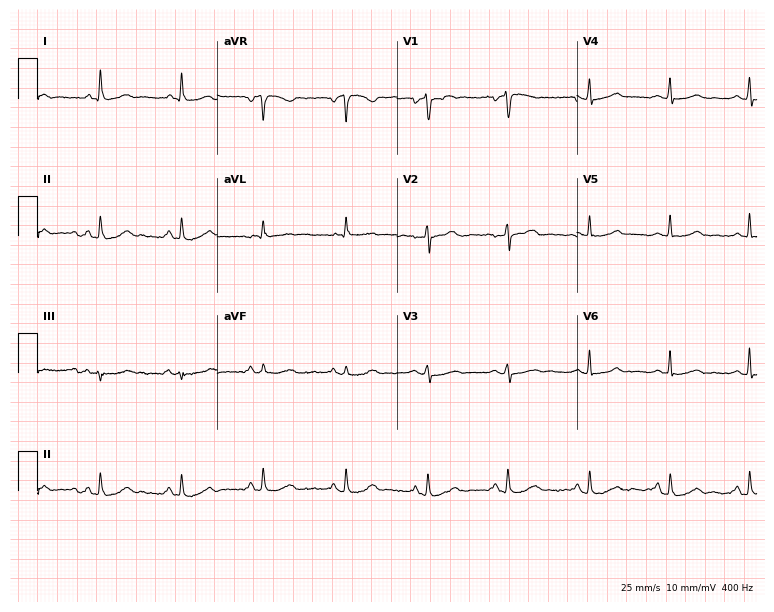
Electrocardiogram, a 46-year-old man. Overall reading on record: normal ECG.